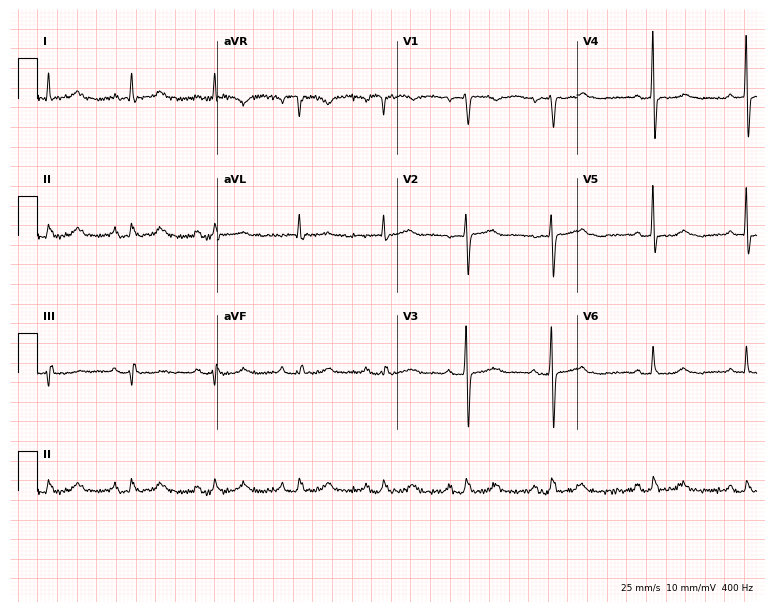
Standard 12-lead ECG recorded from a female patient, 50 years old. Read as a normal ECG.